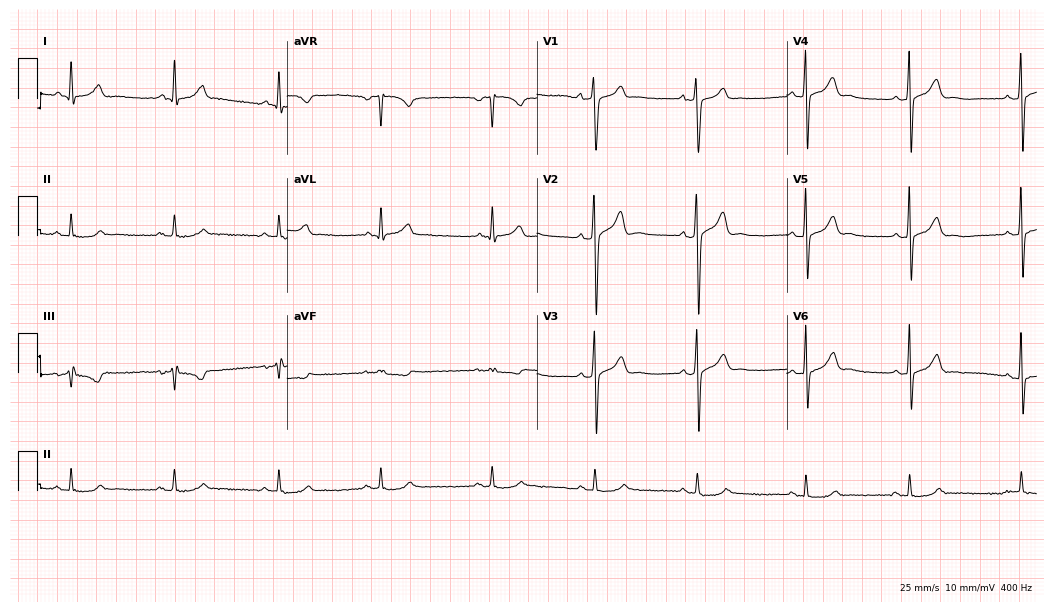
Electrocardiogram (10.2-second recording at 400 Hz), a male, 28 years old. Of the six screened findings (first-degree AV block, right bundle branch block, left bundle branch block, sinus bradycardia, atrial fibrillation, sinus tachycardia), none is recorded. Only these six findings were labelled.